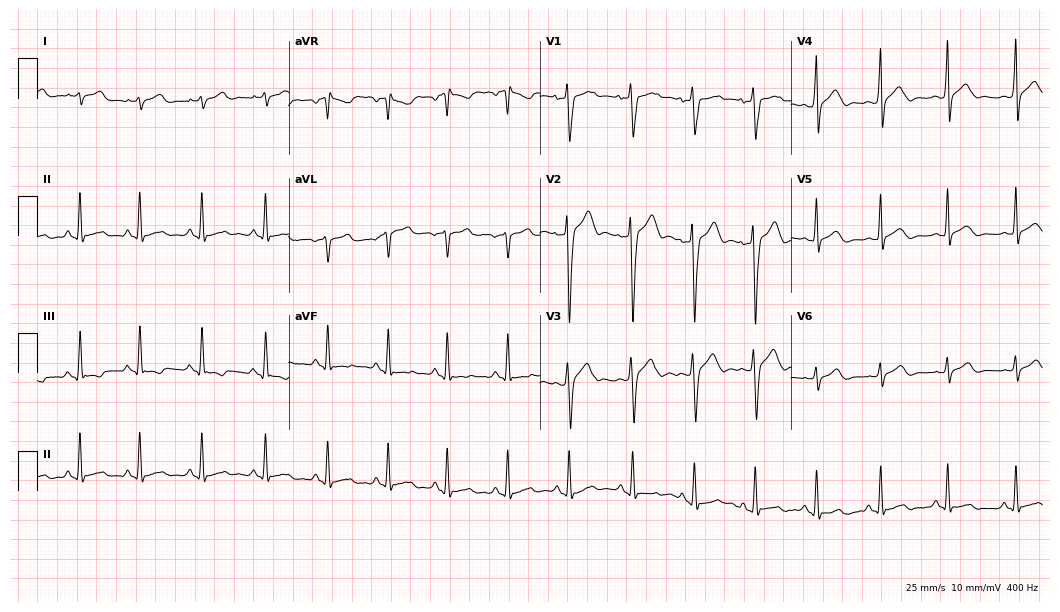
12-lead ECG from an 18-year-old male patient. Recorded interpretation: within normal limits.